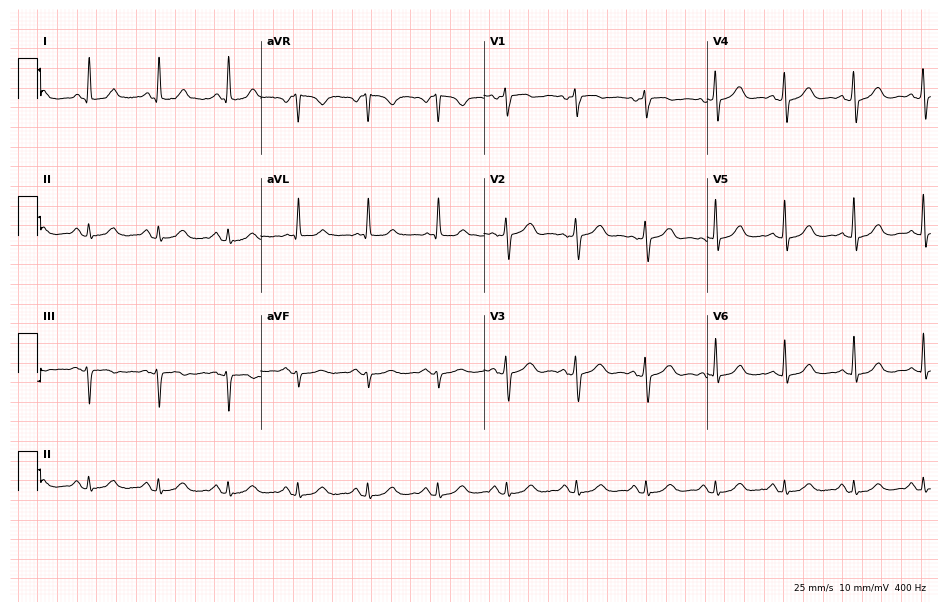
12-lead ECG from a female, 83 years old (9.1-second recording at 400 Hz). Recorded interpretation: within normal limits.